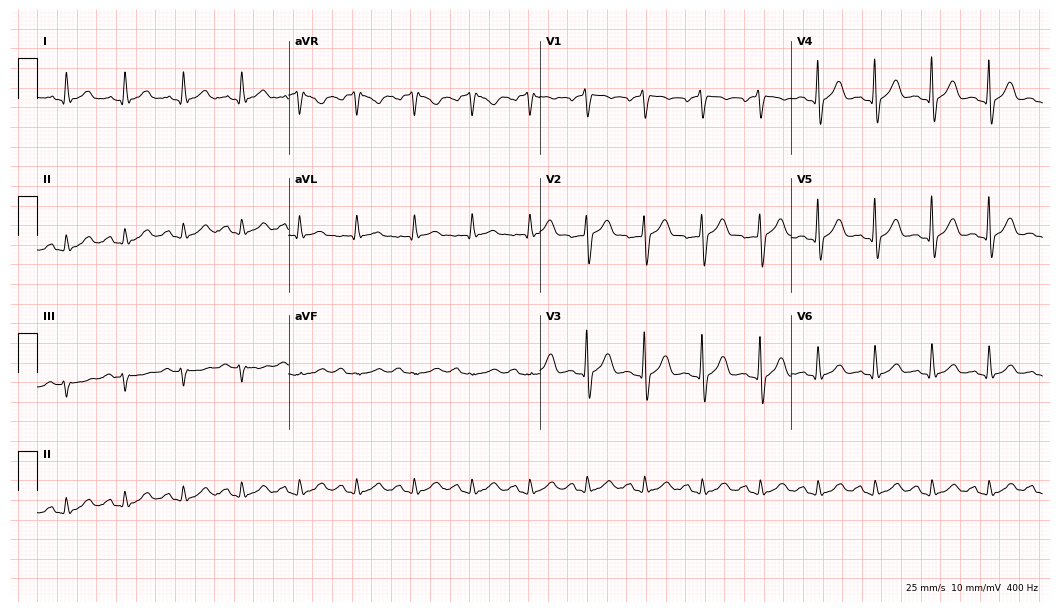
ECG — a male, 48 years old. Findings include sinus tachycardia (a sinus rate of 100 beats per minute or more).